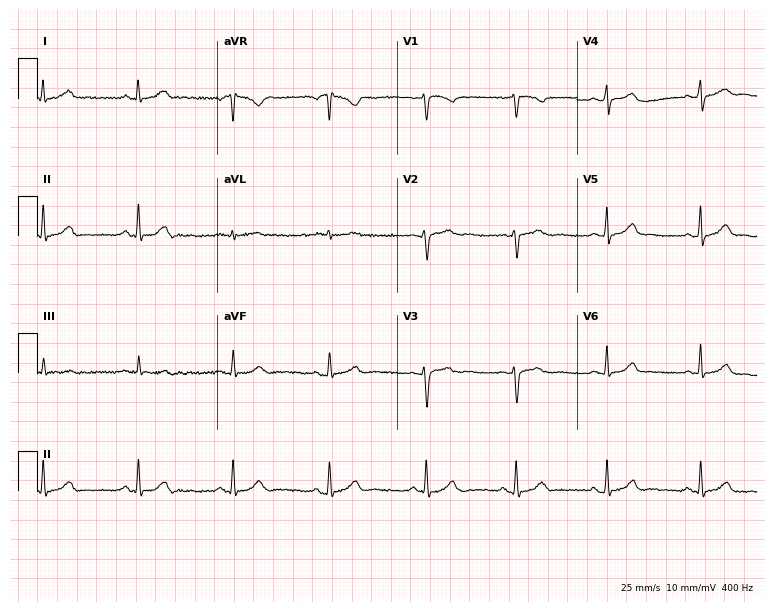
12-lead ECG from a female, 25 years old. Recorded interpretation: within normal limits.